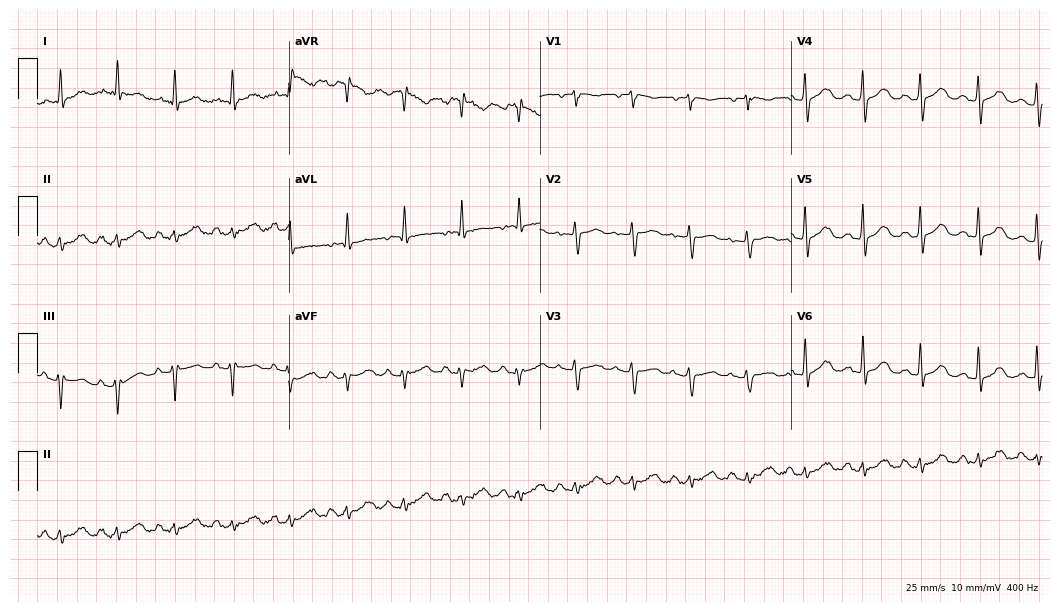
Standard 12-lead ECG recorded from a woman, 55 years old (10.2-second recording at 400 Hz). Read as a normal ECG.